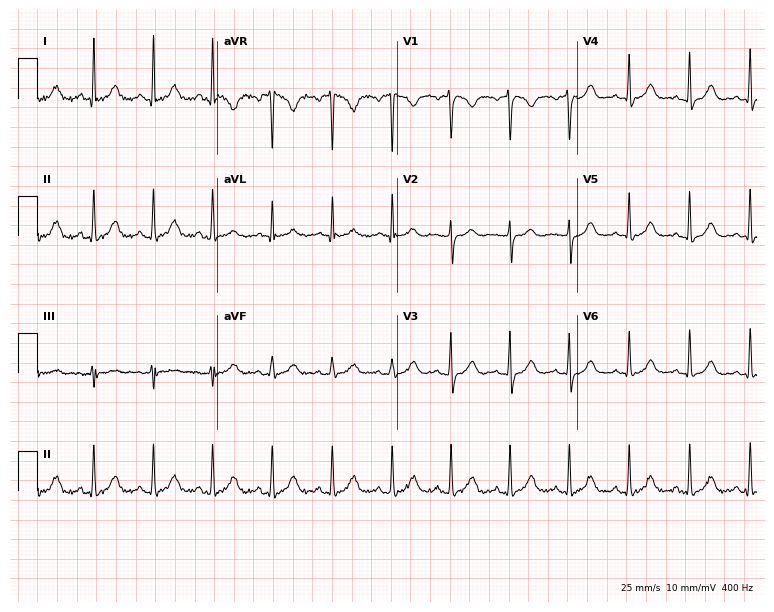
Resting 12-lead electrocardiogram (7.3-second recording at 400 Hz). Patient: a female, 55 years old. None of these six findings is recorded: first-degree AV block, right bundle branch block, left bundle branch block, sinus bradycardia, atrial fibrillation, sinus tachycardia.